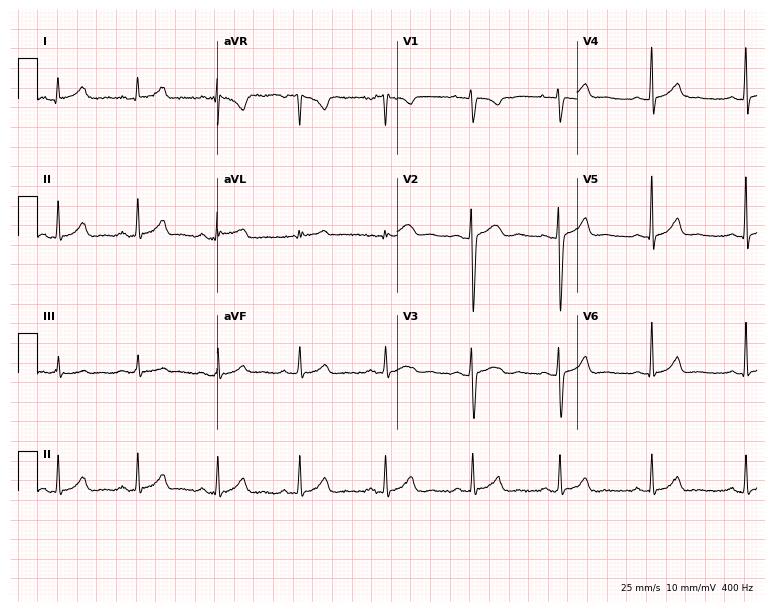
Standard 12-lead ECG recorded from a 29-year-old female (7.3-second recording at 400 Hz). None of these six findings is recorded: first-degree AV block, right bundle branch block, left bundle branch block, sinus bradycardia, atrial fibrillation, sinus tachycardia.